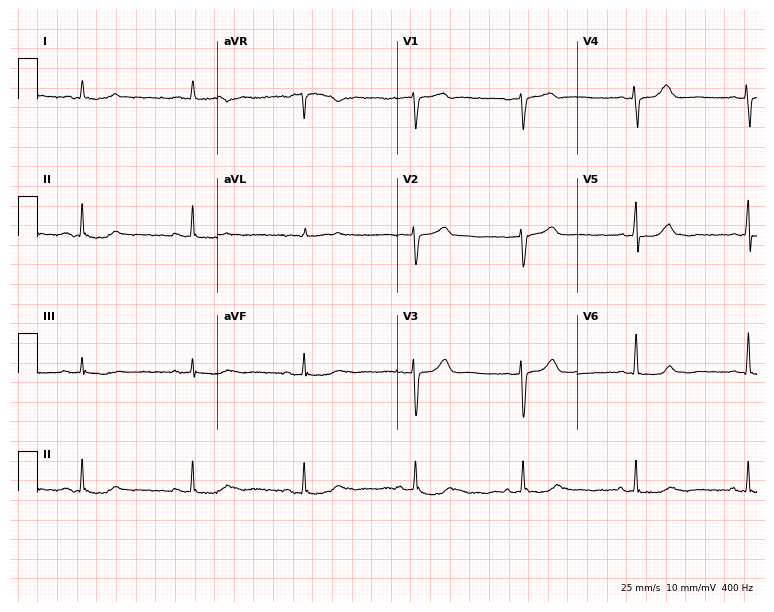
Resting 12-lead electrocardiogram (7.3-second recording at 400 Hz). Patient: a 75-year-old man. None of these six findings is recorded: first-degree AV block, right bundle branch block, left bundle branch block, sinus bradycardia, atrial fibrillation, sinus tachycardia. Only these six findings were labelled.